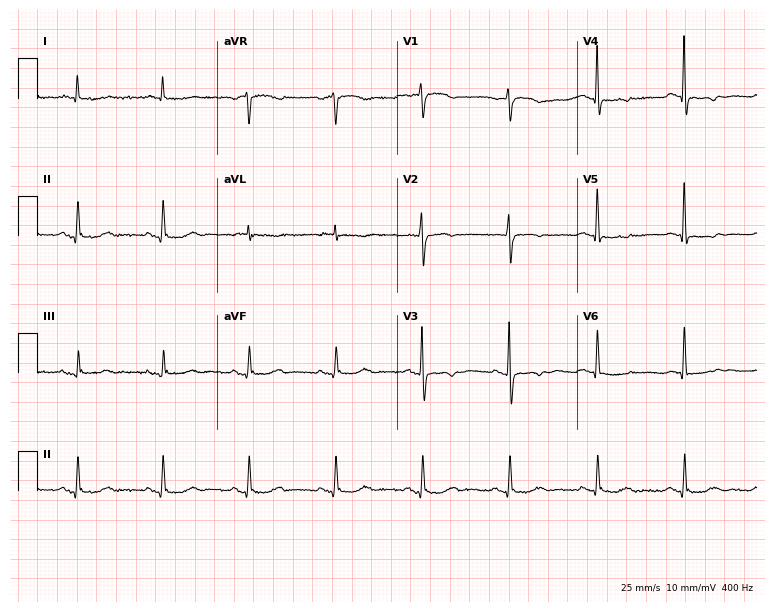
Resting 12-lead electrocardiogram (7.3-second recording at 400 Hz). Patient: a 67-year-old woman. None of these six findings is recorded: first-degree AV block, right bundle branch block, left bundle branch block, sinus bradycardia, atrial fibrillation, sinus tachycardia.